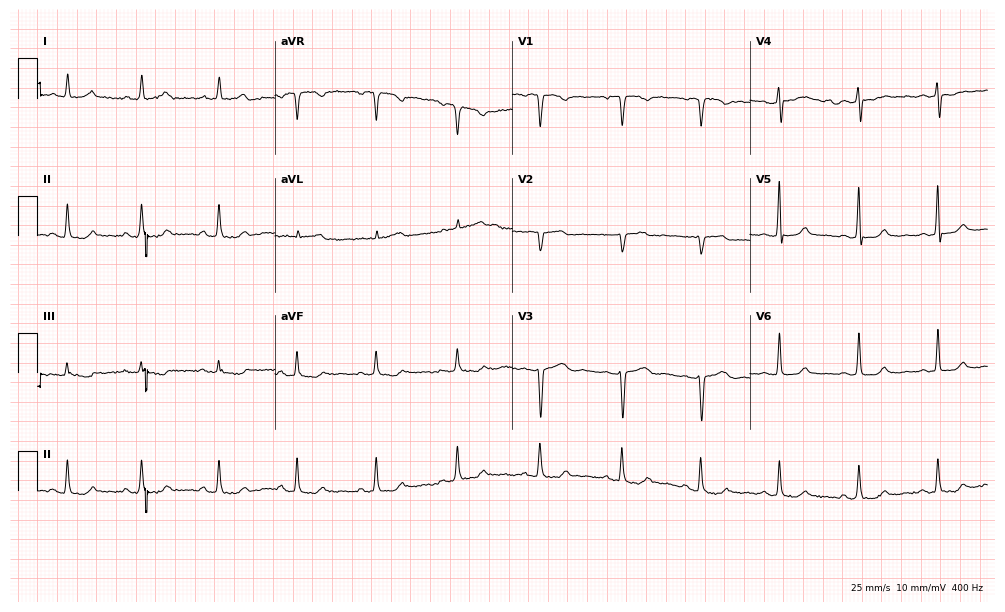
Electrocardiogram (9.7-second recording at 400 Hz), a female patient, 43 years old. Overall reading on record: normal ECG.